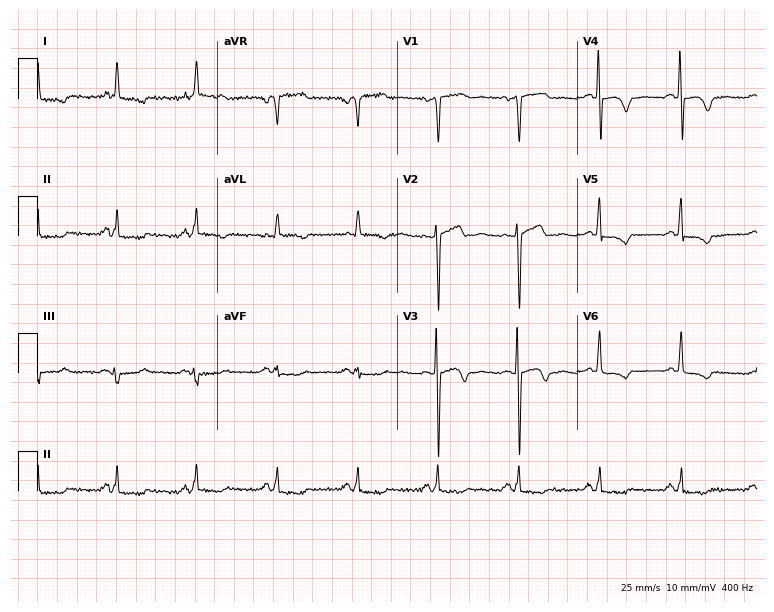
Standard 12-lead ECG recorded from a female, 71 years old. None of these six findings is recorded: first-degree AV block, right bundle branch block, left bundle branch block, sinus bradycardia, atrial fibrillation, sinus tachycardia.